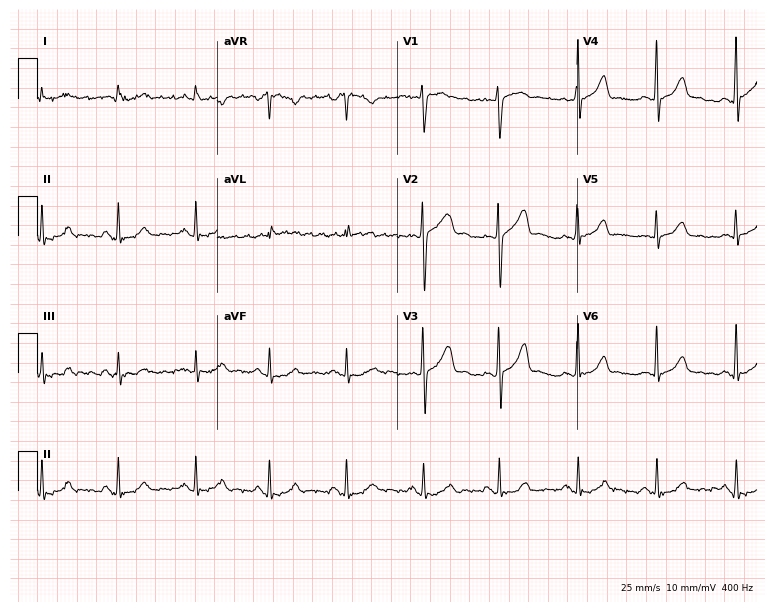
Standard 12-lead ECG recorded from a 46-year-old male patient. Read as a normal ECG.